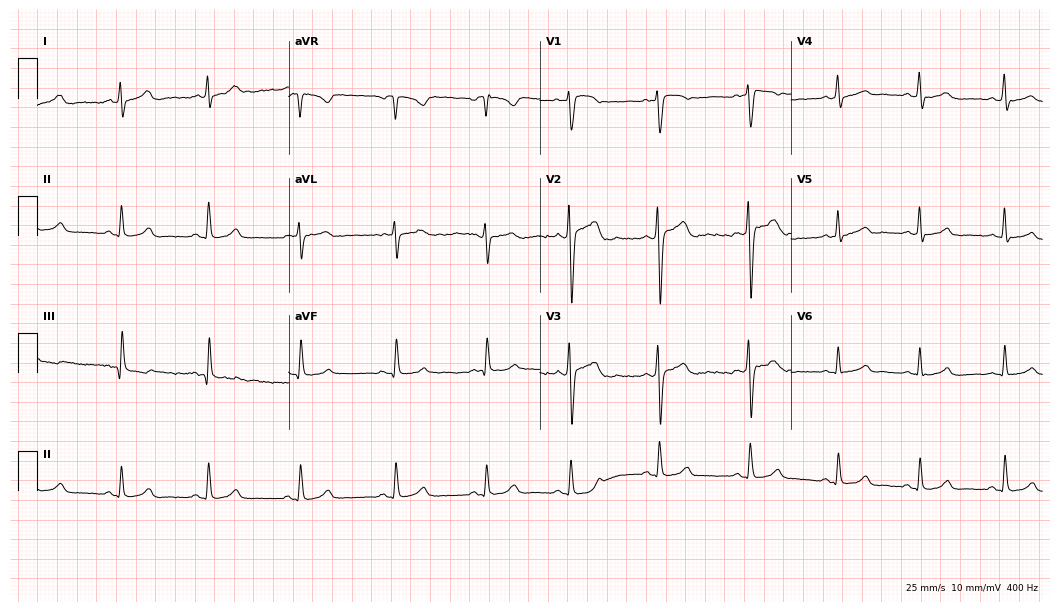
Electrocardiogram (10.2-second recording at 400 Hz), a 32-year-old woman. Overall reading on record: normal ECG.